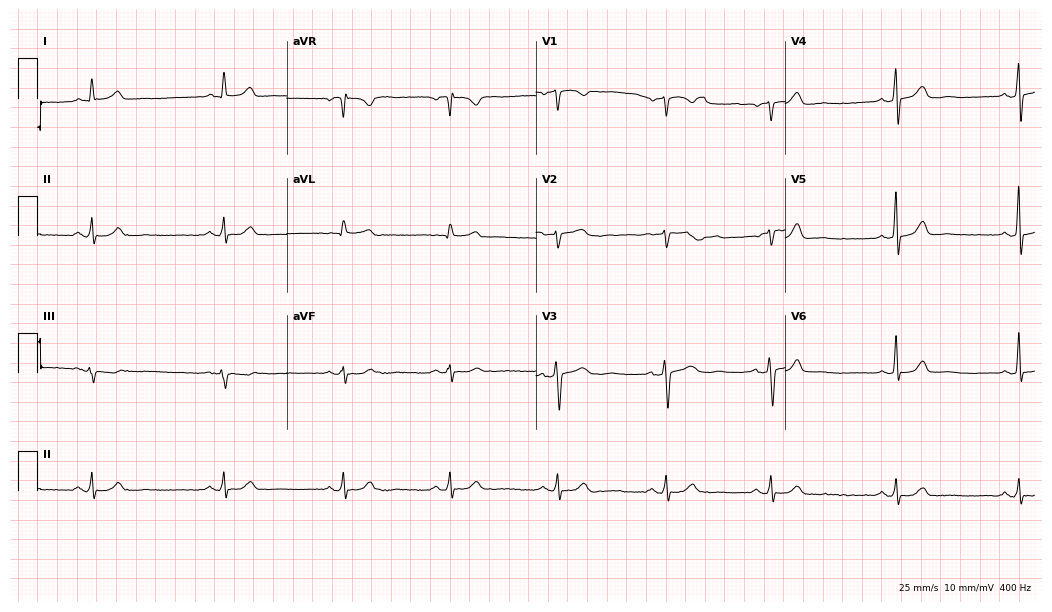
Electrocardiogram (10.2-second recording at 400 Hz), a female, 60 years old. Overall reading on record: normal ECG.